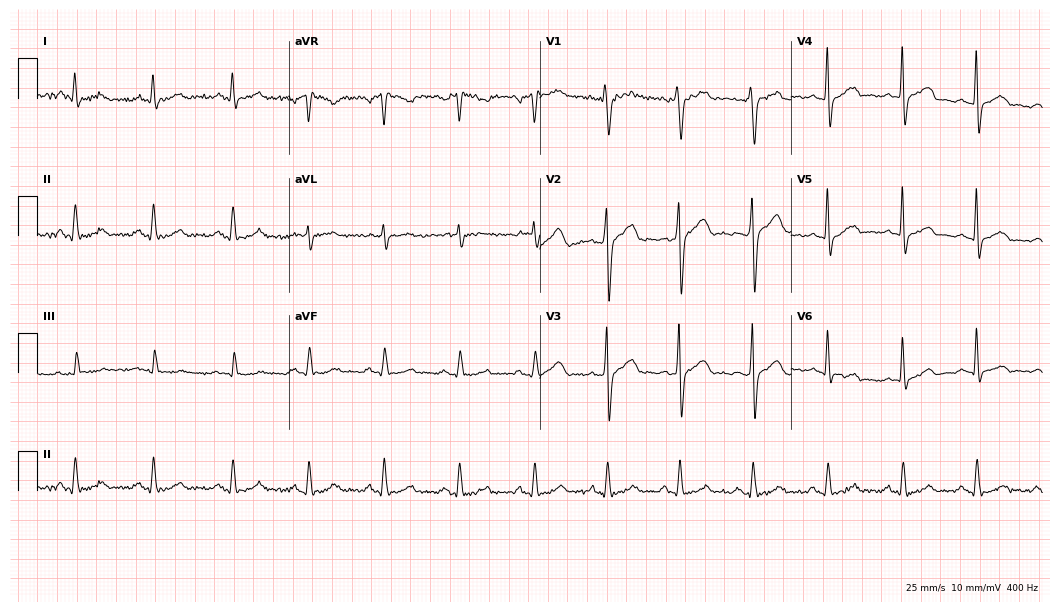
Resting 12-lead electrocardiogram. Patient: a 39-year-old male. Read as a normal ECG.